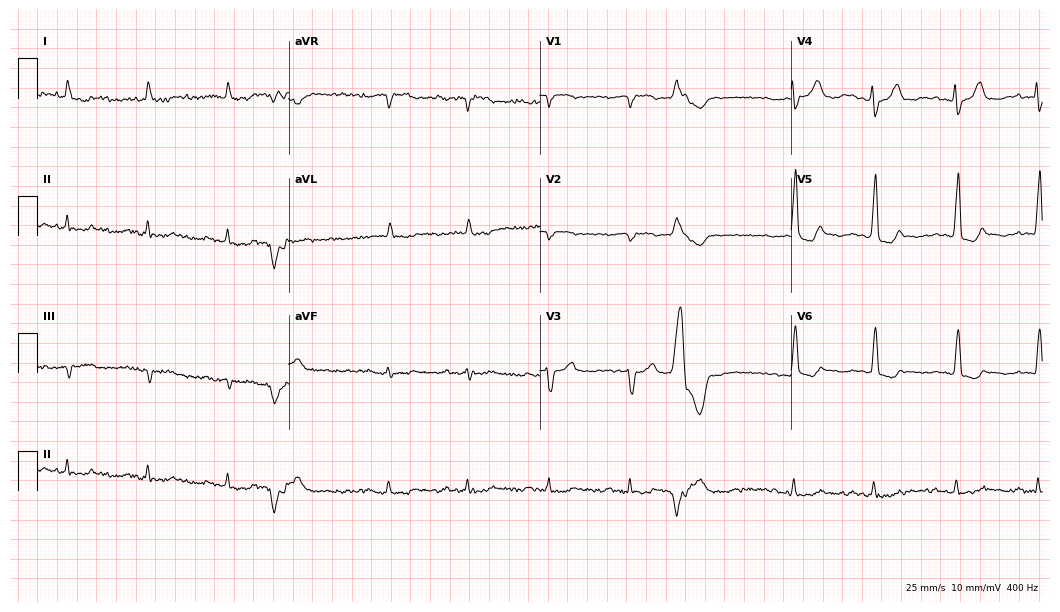
ECG (10.2-second recording at 400 Hz) — a male patient, 76 years old. Screened for six findings — first-degree AV block, right bundle branch block (RBBB), left bundle branch block (LBBB), sinus bradycardia, atrial fibrillation (AF), sinus tachycardia — none is recorded.